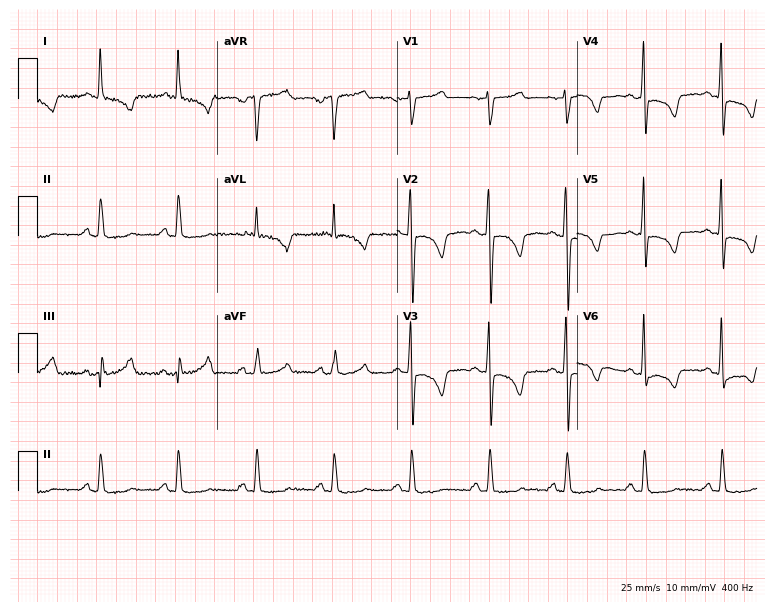
ECG — a woman, 51 years old. Screened for six findings — first-degree AV block, right bundle branch block (RBBB), left bundle branch block (LBBB), sinus bradycardia, atrial fibrillation (AF), sinus tachycardia — none is recorded. Other findings, if any, are not listed.